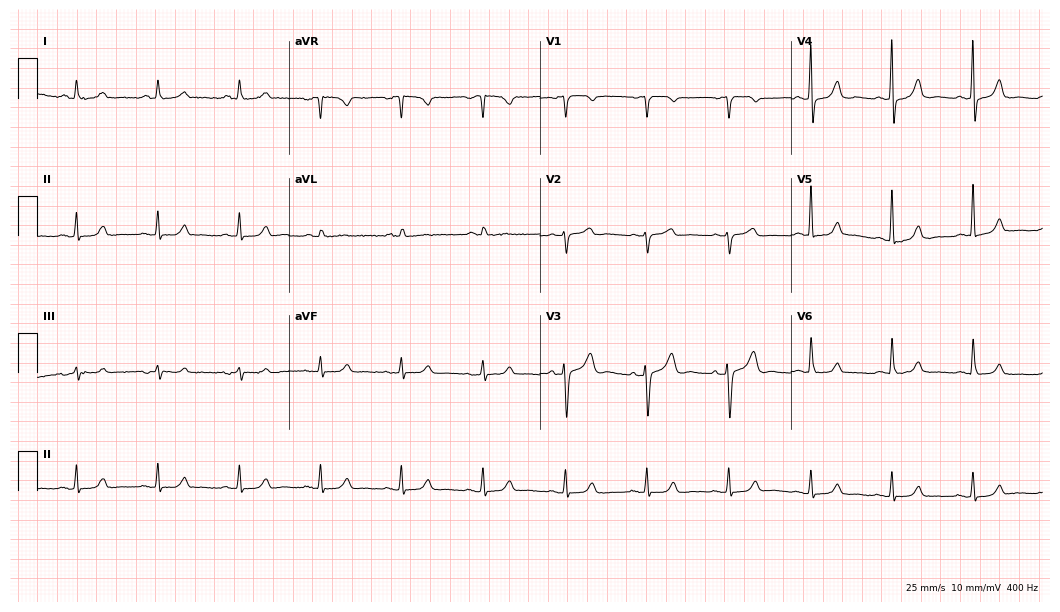
ECG — a female patient, 81 years old. Labelled as a normal ECG.